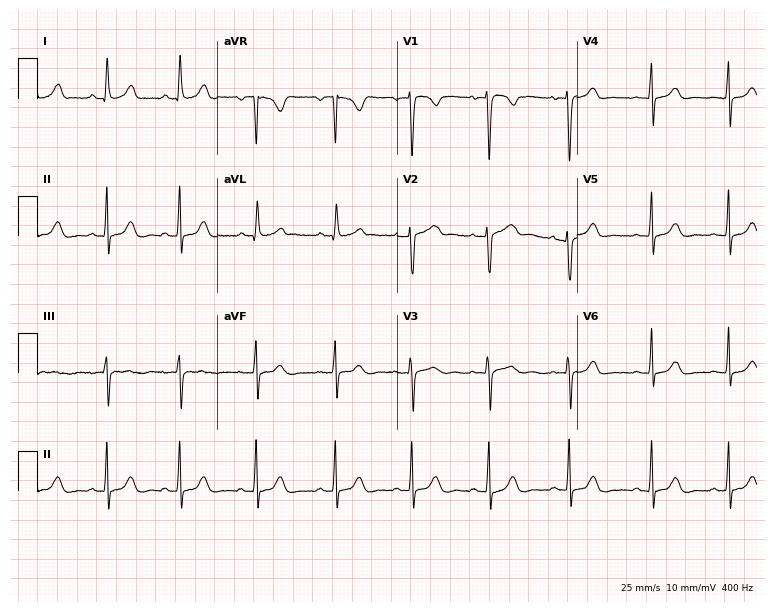
Standard 12-lead ECG recorded from a female, 20 years old. Read as a normal ECG.